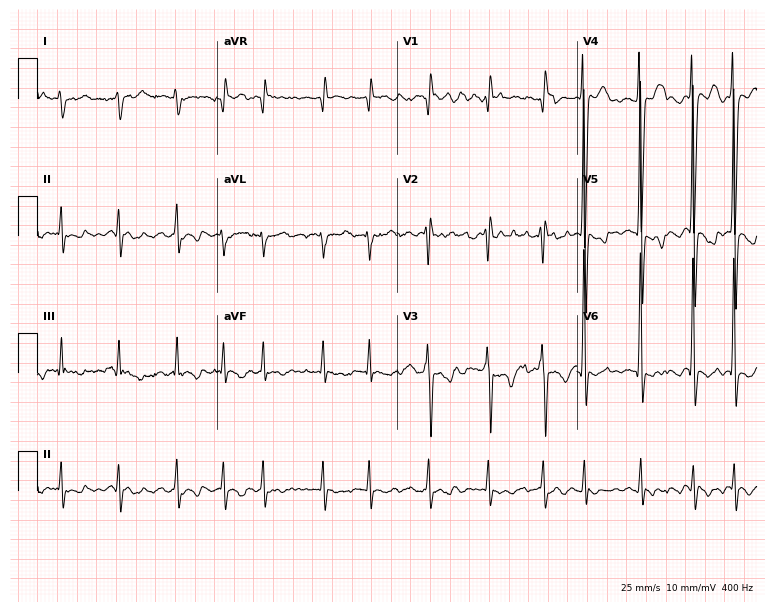
ECG — a man, 41 years old. Findings include atrial fibrillation.